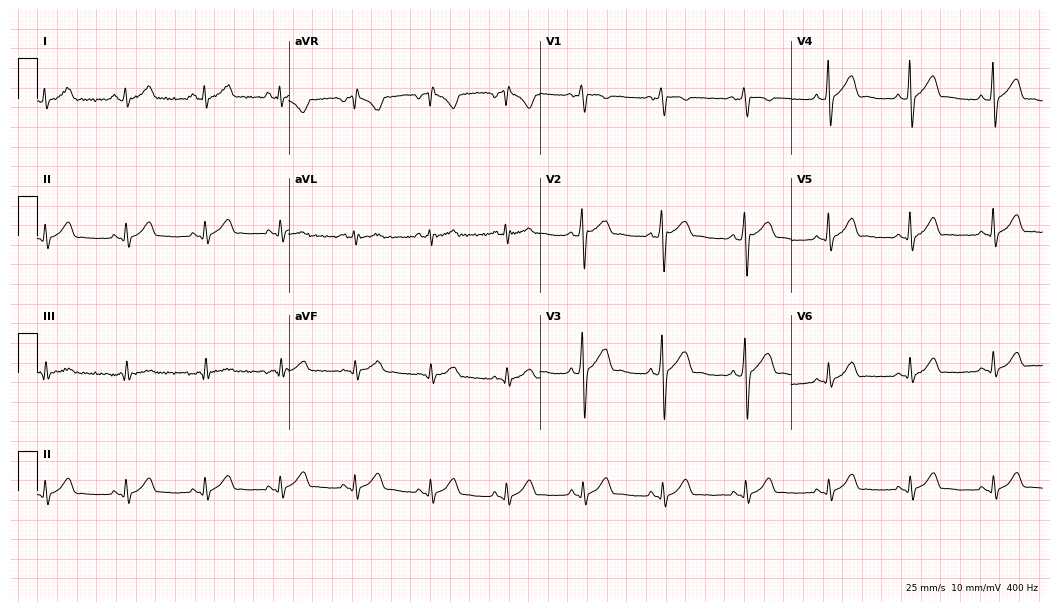
ECG — a 30-year-old male. Labelled as a normal ECG.